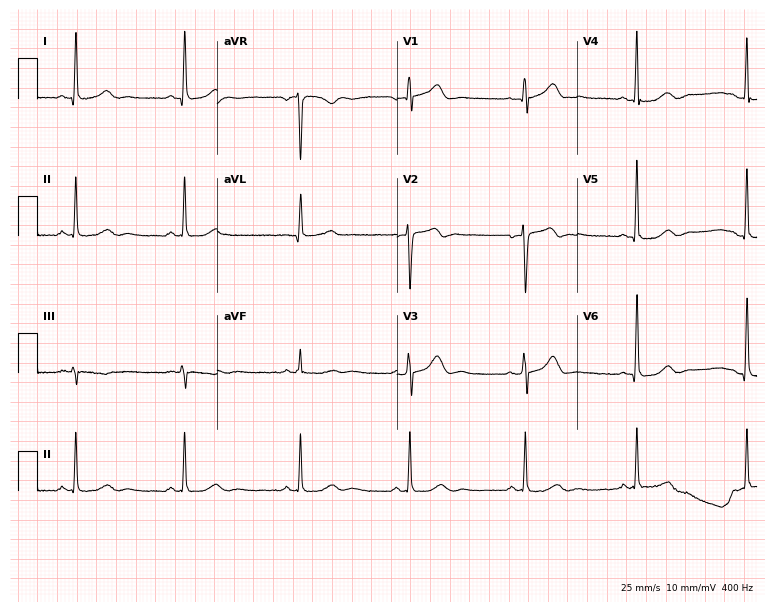
Standard 12-lead ECG recorded from a woman, 64 years old (7.3-second recording at 400 Hz). Read as a normal ECG.